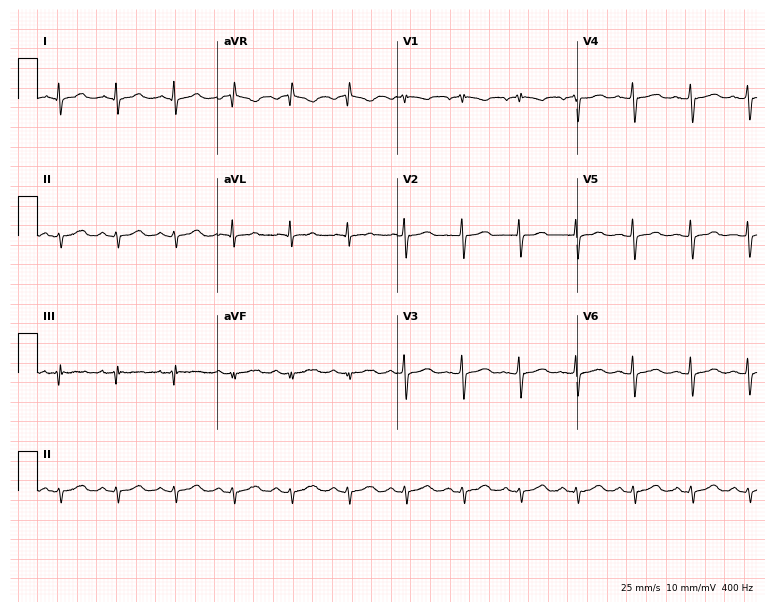
12-lead ECG from a 49-year-old female patient (7.3-second recording at 400 Hz). Shows sinus tachycardia (a sinus rate of 100 beats per minute or more).